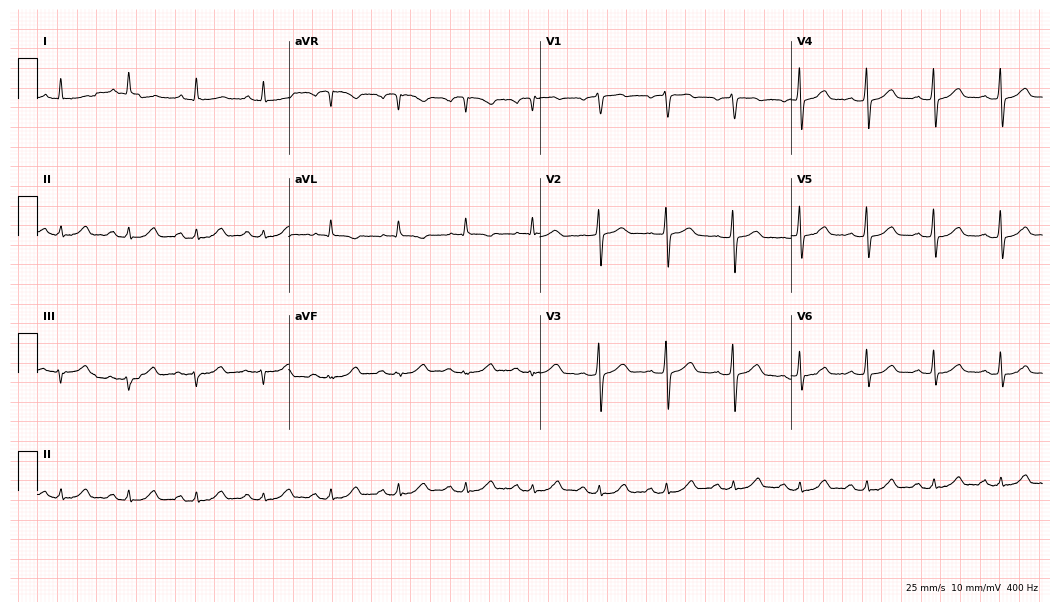
Electrocardiogram, a 64-year-old male. Overall reading on record: normal ECG.